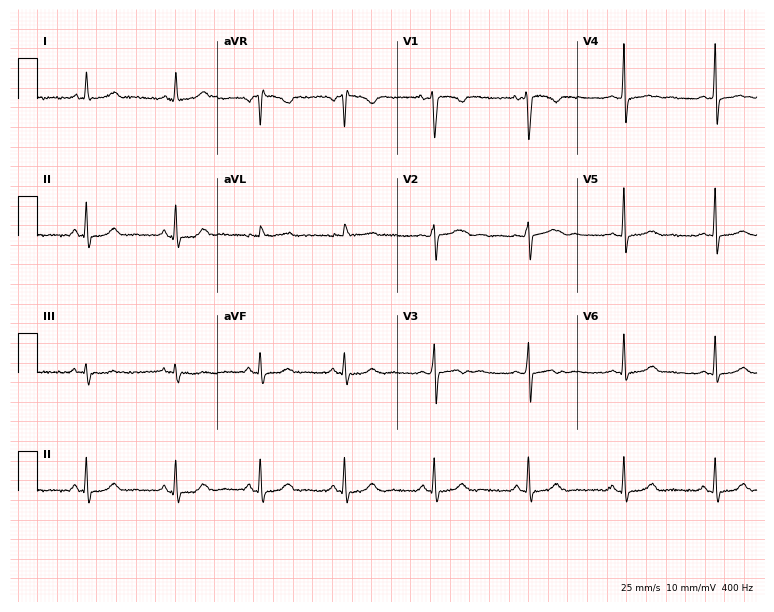
Standard 12-lead ECG recorded from a 32-year-old female. Read as a normal ECG.